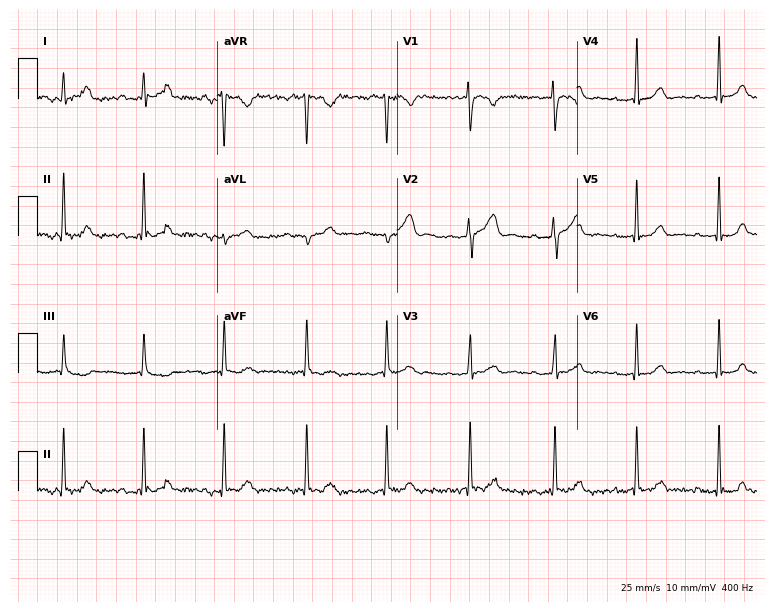
ECG (7.3-second recording at 400 Hz) — a 31-year-old female patient. Labelled as a normal ECG.